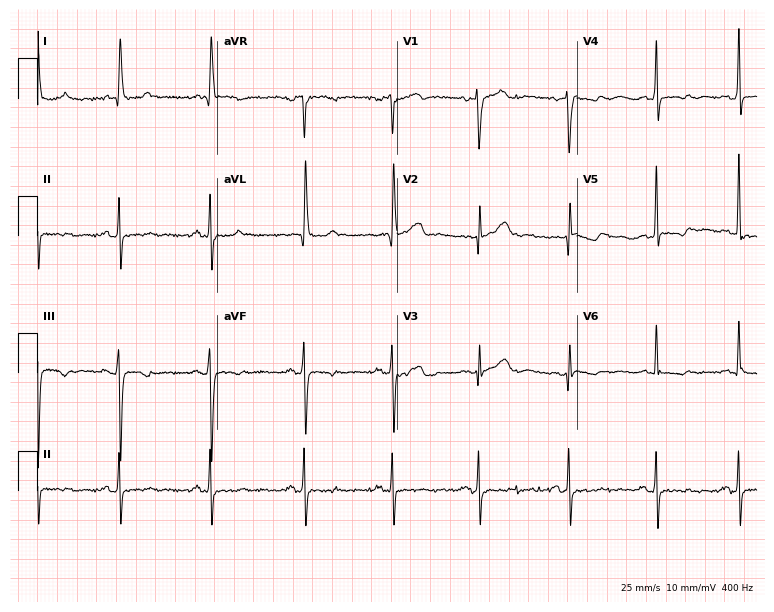
Electrocardiogram, a 69-year-old female patient. Of the six screened findings (first-degree AV block, right bundle branch block (RBBB), left bundle branch block (LBBB), sinus bradycardia, atrial fibrillation (AF), sinus tachycardia), none is recorded.